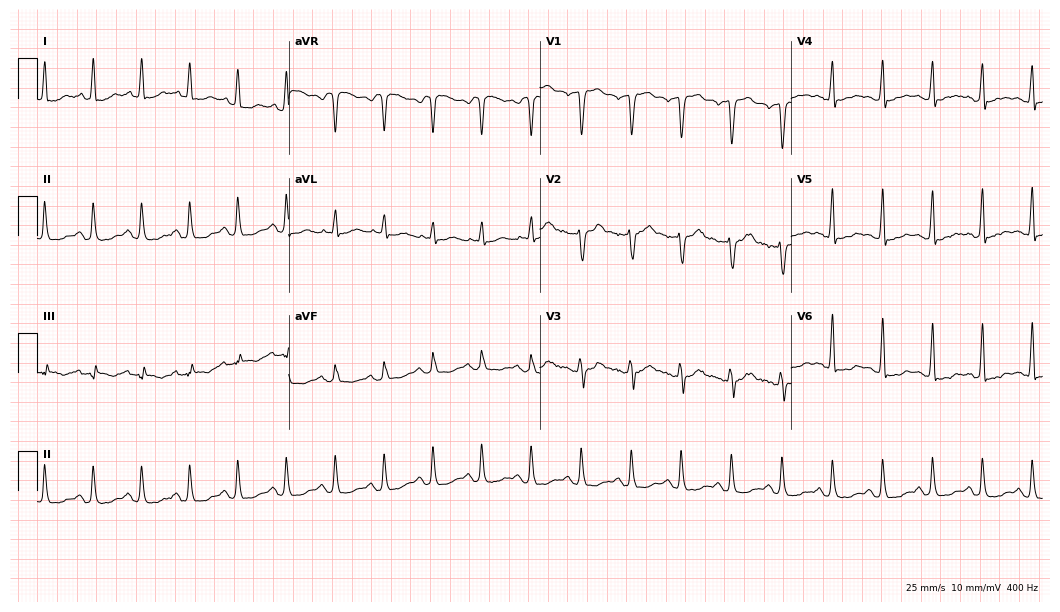
12-lead ECG (10.2-second recording at 400 Hz) from a man, 36 years old. Findings include sinus tachycardia (a sinus rate of 100 beats per minute or more).